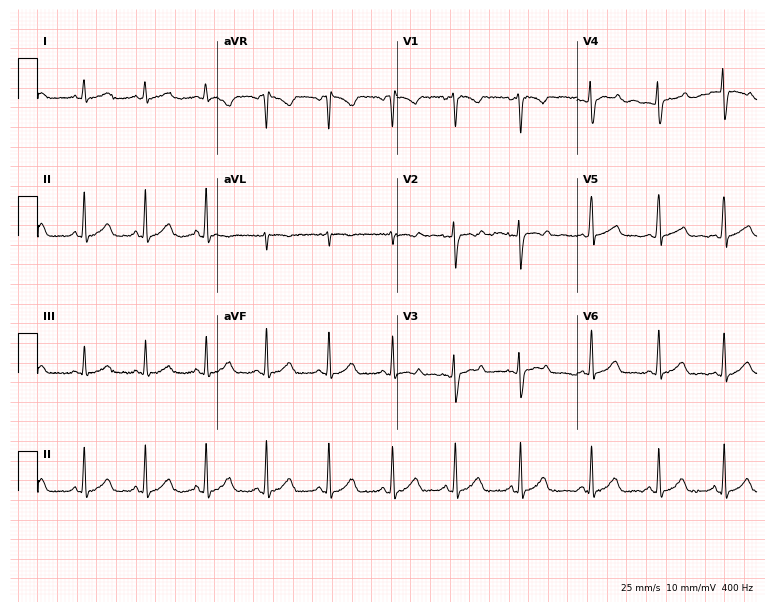
Standard 12-lead ECG recorded from a woman, 23 years old (7.3-second recording at 400 Hz). Read as a normal ECG.